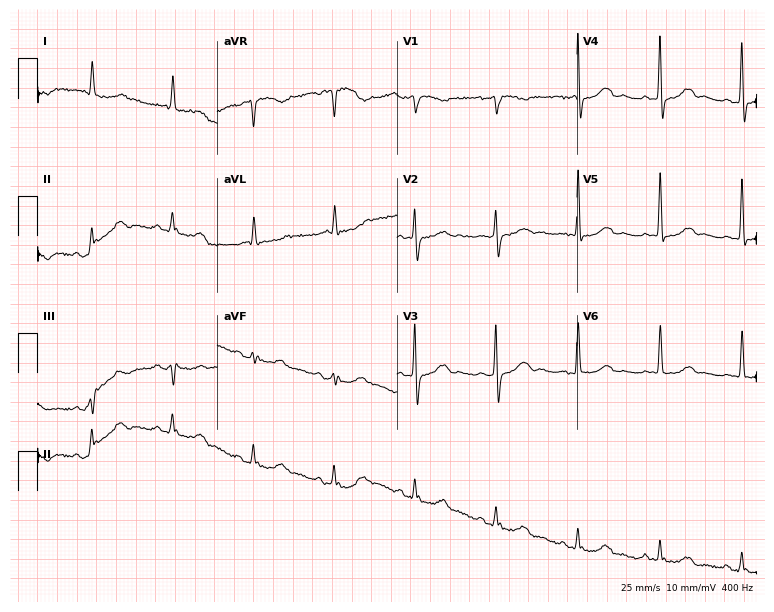
ECG (7.3-second recording at 400 Hz) — an 84-year-old female patient. Screened for six findings — first-degree AV block, right bundle branch block, left bundle branch block, sinus bradycardia, atrial fibrillation, sinus tachycardia — none is recorded.